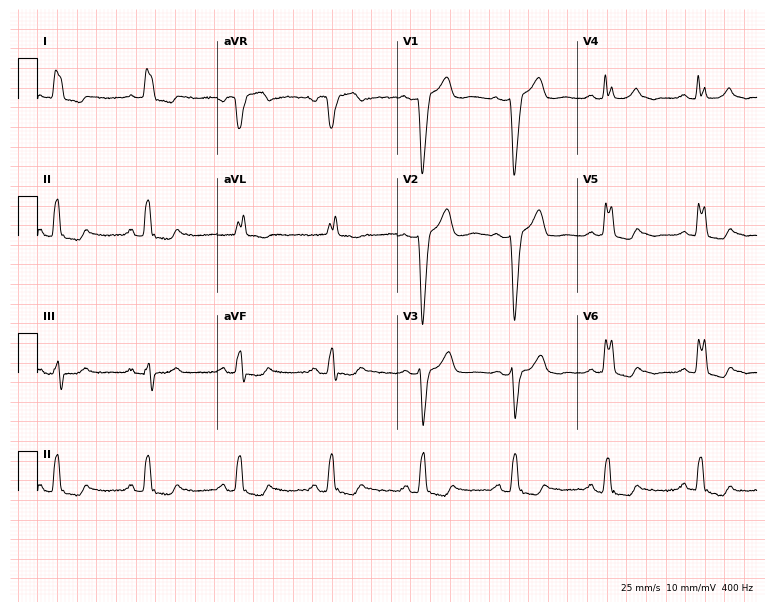
Resting 12-lead electrocardiogram. Patient: a 70-year-old female. The tracing shows left bundle branch block.